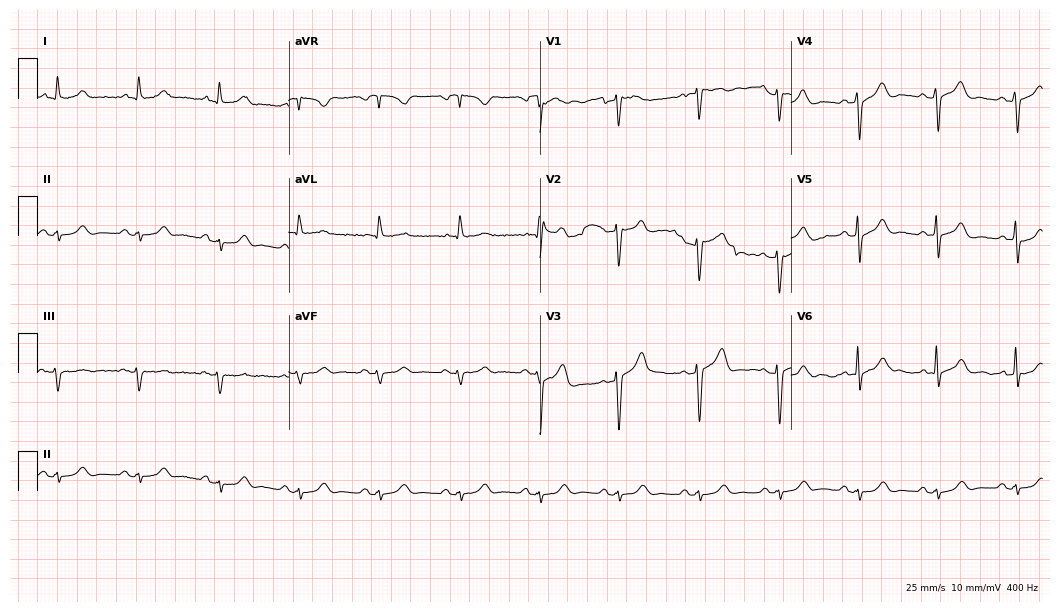
Electrocardiogram (10.2-second recording at 400 Hz), a 70-year-old male. Of the six screened findings (first-degree AV block, right bundle branch block, left bundle branch block, sinus bradycardia, atrial fibrillation, sinus tachycardia), none is recorded. Findings outside these six are not listed.